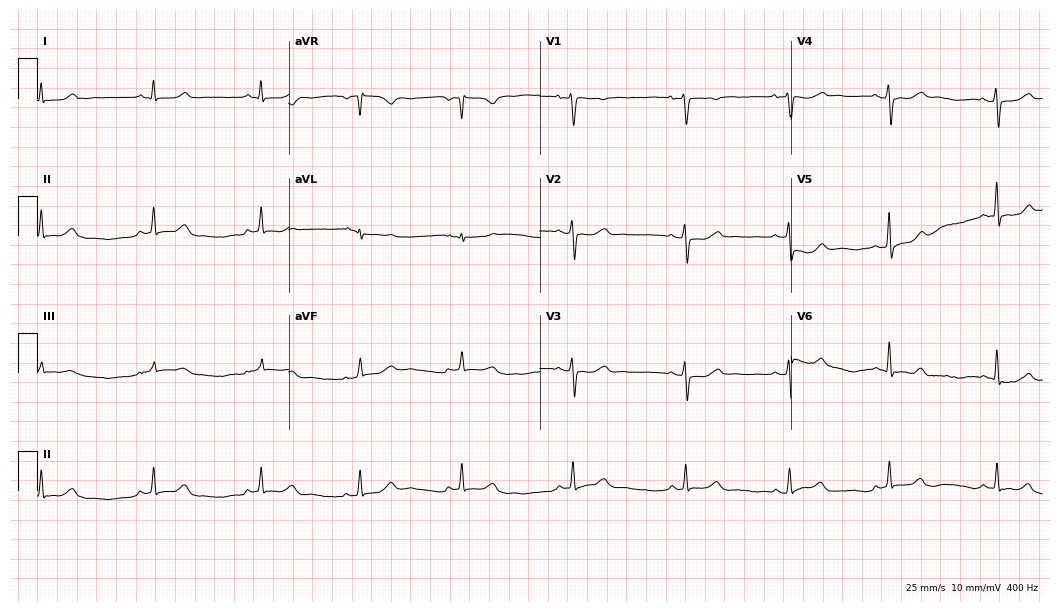
Standard 12-lead ECG recorded from a woman, 50 years old. None of these six findings is recorded: first-degree AV block, right bundle branch block, left bundle branch block, sinus bradycardia, atrial fibrillation, sinus tachycardia. Findings outside these six are not listed.